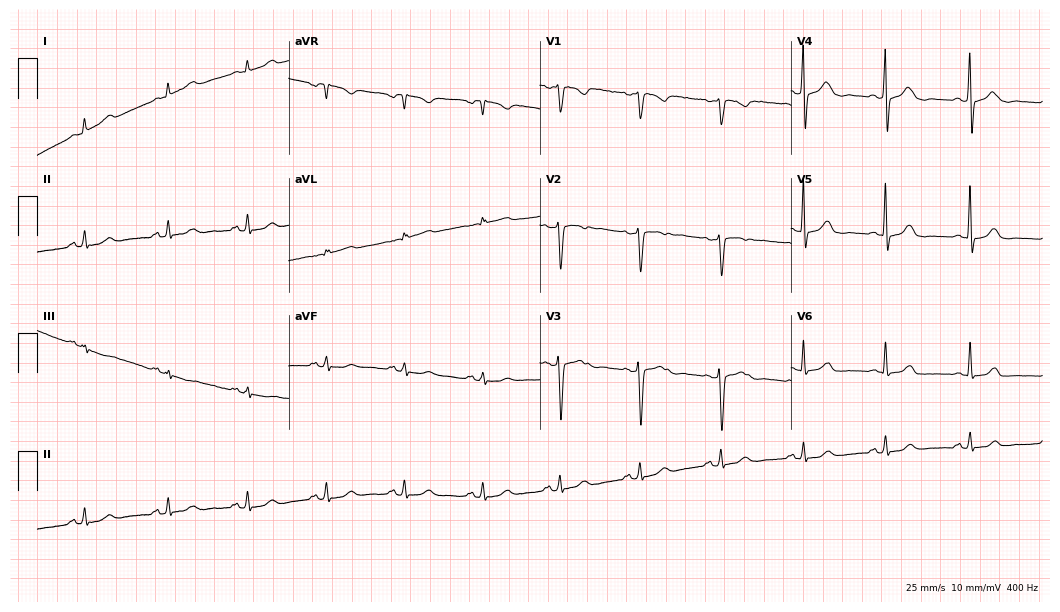
12-lead ECG from a 49-year-old female. Screened for six findings — first-degree AV block, right bundle branch block (RBBB), left bundle branch block (LBBB), sinus bradycardia, atrial fibrillation (AF), sinus tachycardia — none is recorded.